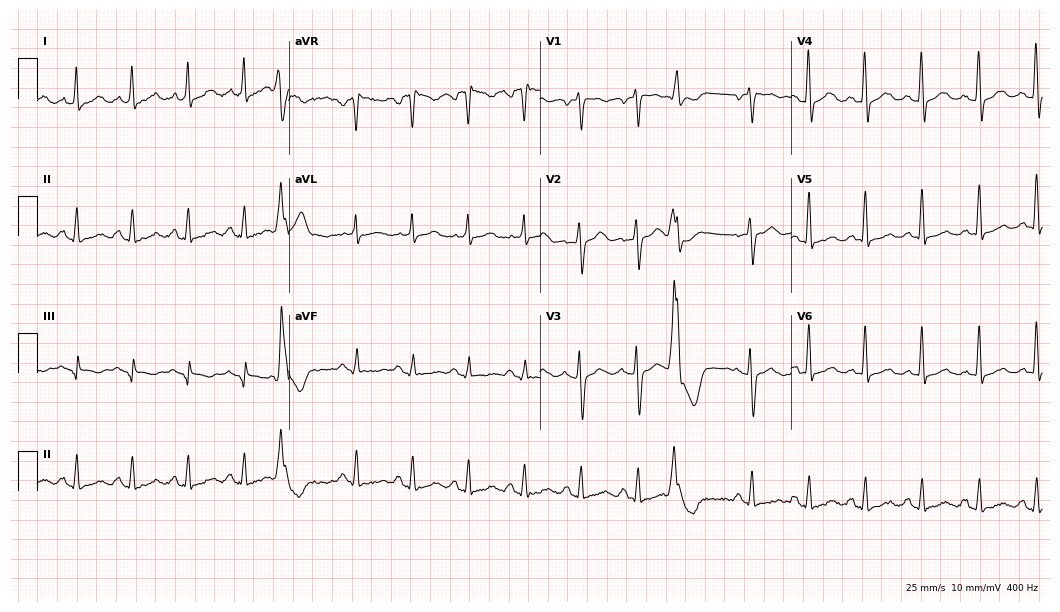
Electrocardiogram (10.2-second recording at 400 Hz), a 35-year-old female. Interpretation includes sinus tachycardia (a sinus rate of 100 beats per minute or more).